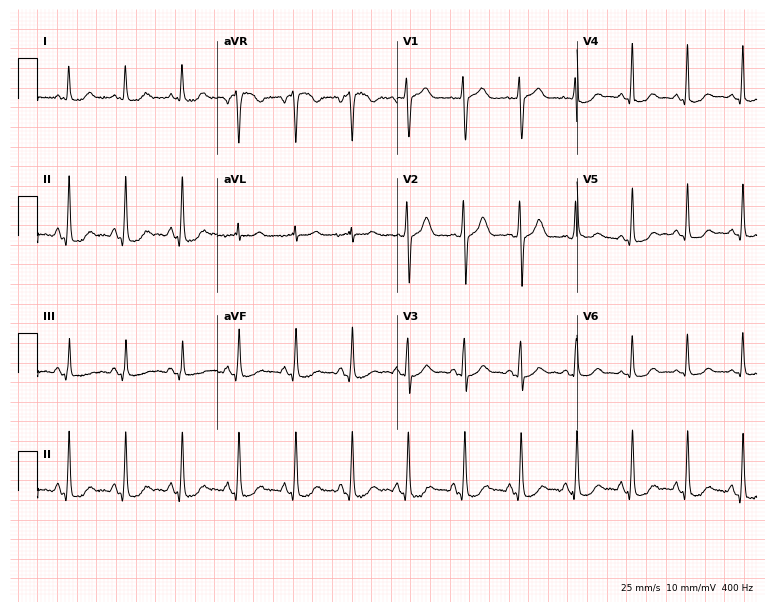
Standard 12-lead ECG recorded from a woman, 54 years old. None of these six findings is recorded: first-degree AV block, right bundle branch block (RBBB), left bundle branch block (LBBB), sinus bradycardia, atrial fibrillation (AF), sinus tachycardia. Only these six findings were labelled.